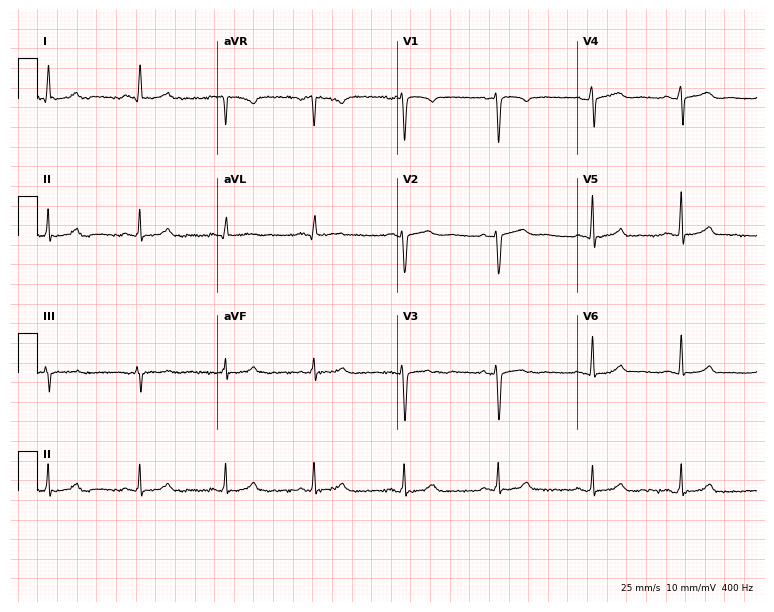
Resting 12-lead electrocardiogram (7.3-second recording at 400 Hz). Patient: a female, 51 years old. Read as a normal ECG.